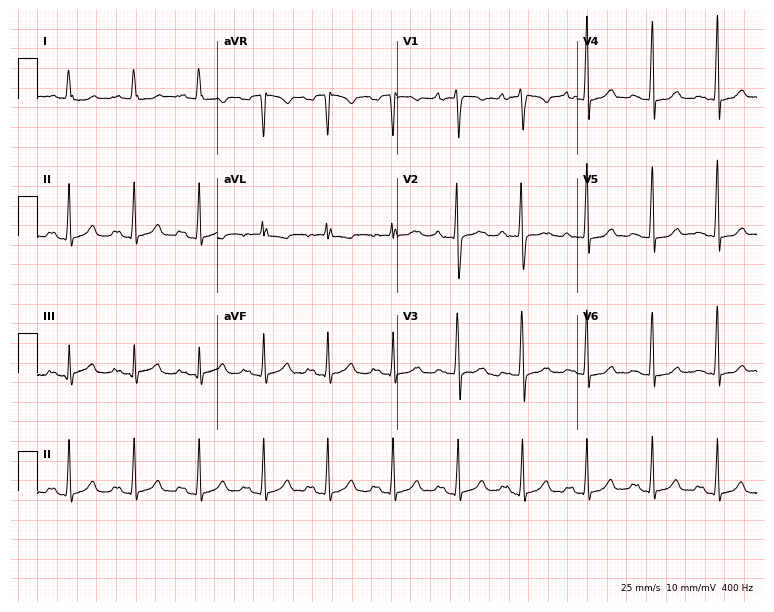
ECG — a female, 19 years old. Screened for six findings — first-degree AV block, right bundle branch block, left bundle branch block, sinus bradycardia, atrial fibrillation, sinus tachycardia — none is recorded.